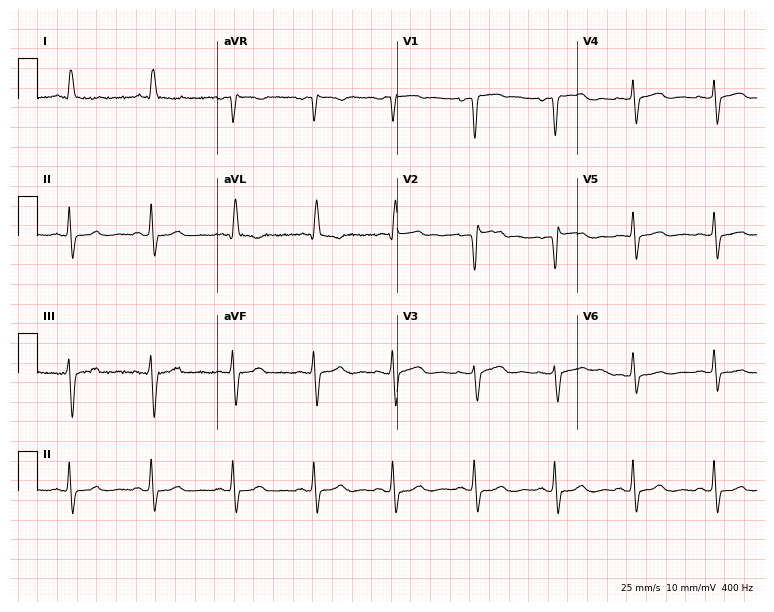
12-lead ECG from a 35-year-old woman (7.3-second recording at 400 Hz). No first-degree AV block, right bundle branch block, left bundle branch block, sinus bradycardia, atrial fibrillation or sinus tachycardia recorded for this tracing.